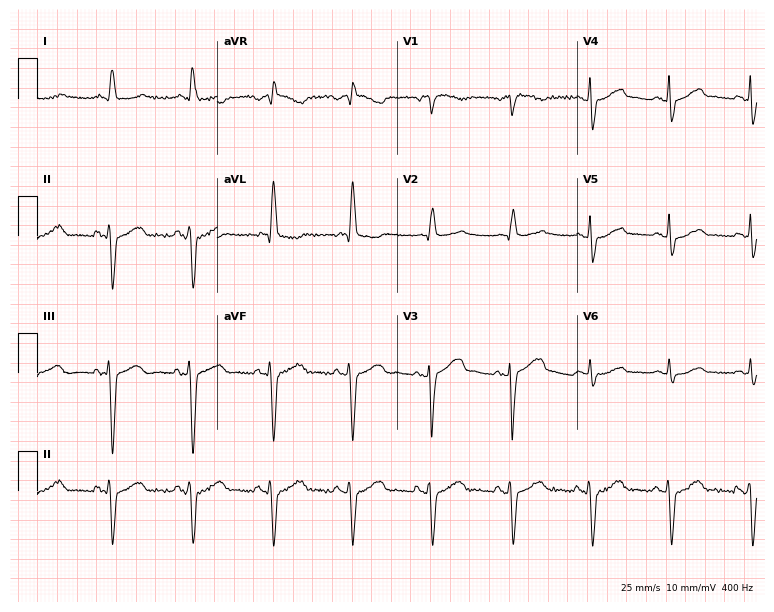
12-lead ECG from a woman, 77 years old. No first-degree AV block, right bundle branch block, left bundle branch block, sinus bradycardia, atrial fibrillation or sinus tachycardia recorded for this tracing.